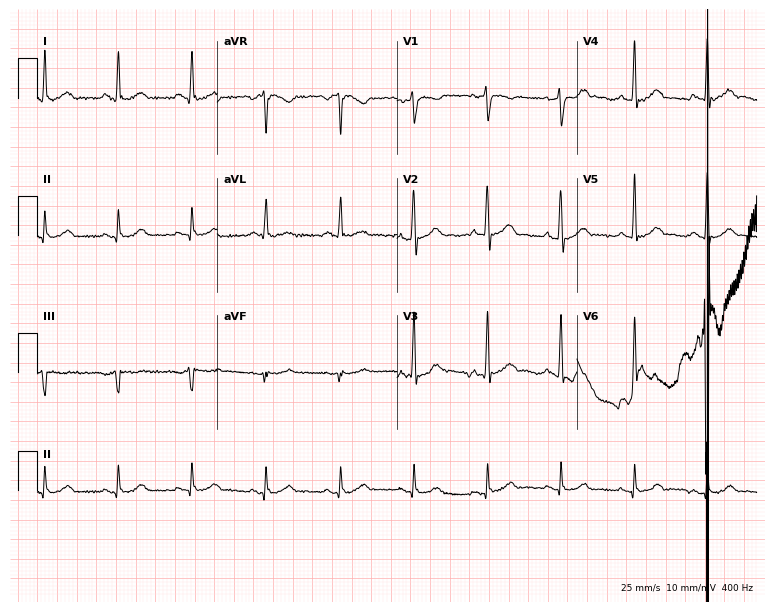
12-lead ECG from a 54-year-old man. Screened for six findings — first-degree AV block, right bundle branch block, left bundle branch block, sinus bradycardia, atrial fibrillation, sinus tachycardia — none is recorded.